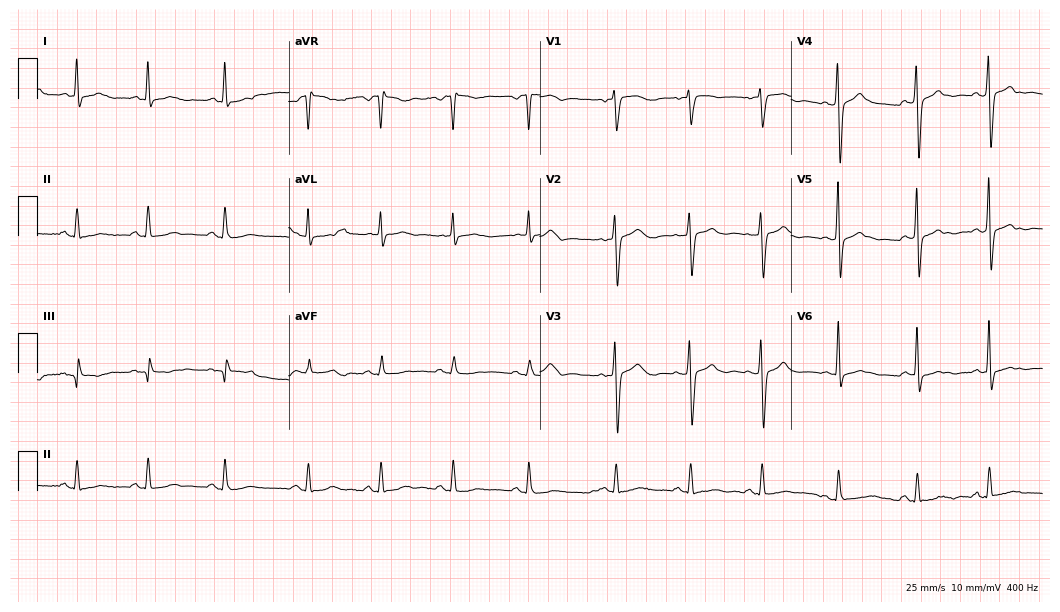
ECG (10.2-second recording at 400 Hz) — a female patient, 66 years old. Screened for six findings — first-degree AV block, right bundle branch block (RBBB), left bundle branch block (LBBB), sinus bradycardia, atrial fibrillation (AF), sinus tachycardia — none is recorded.